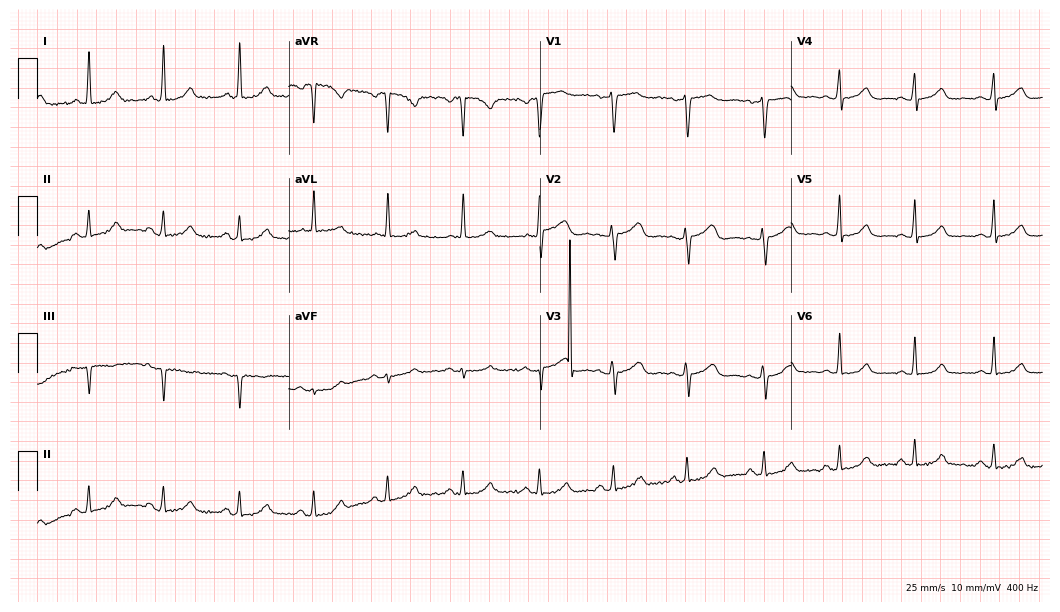
Resting 12-lead electrocardiogram (10.2-second recording at 400 Hz). Patient: a female, 49 years old. None of these six findings is recorded: first-degree AV block, right bundle branch block, left bundle branch block, sinus bradycardia, atrial fibrillation, sinus tachycardia.